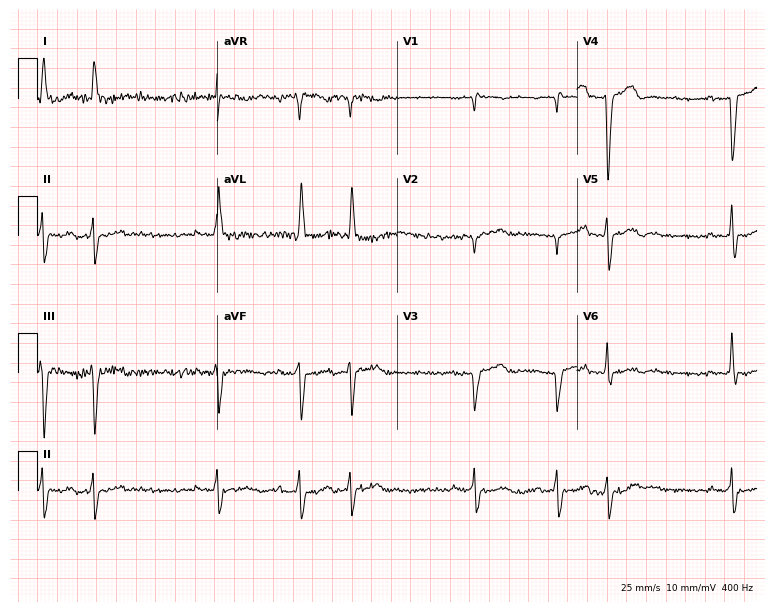
Resting 12-lead electrocardiogram. Patient: a 74-year-old female. None of these six findings is recorded: first-degree AV block, right bundle branch block, left bundle branch block, sinus bradycardia, atrial fibrillation, sinus tachycardia. Other findings, if any, are not listed.